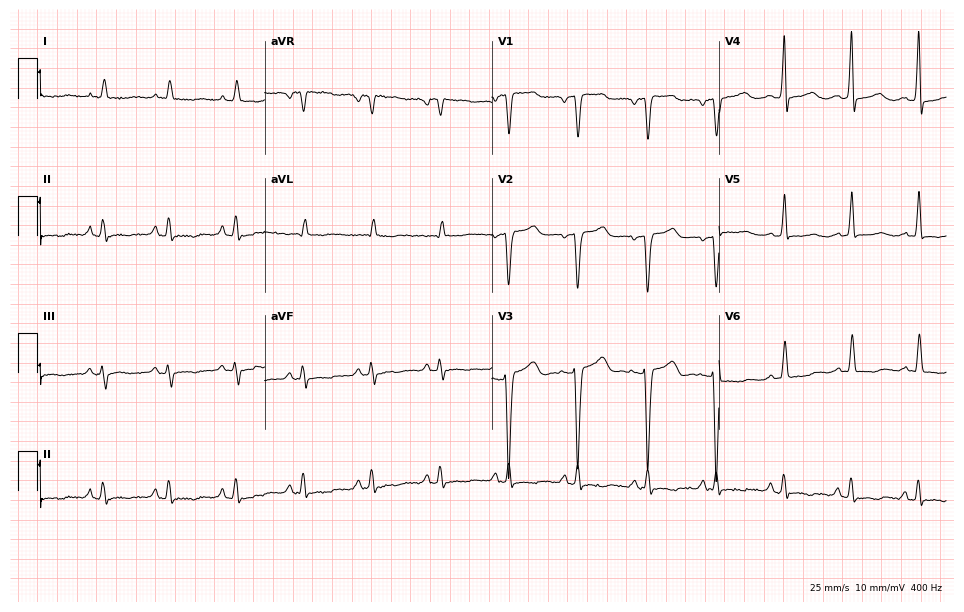
Electrocardiogram, a 49-year-old male patient. Of the six screened findings (first-degree AV block, right bundle branch block (RBBB), left bundle branch block (LBBB), sinus bradycardia, atrial fibrillation (AF), sinus tachycardia), none is recorded. Other findings, if any, are not listed.